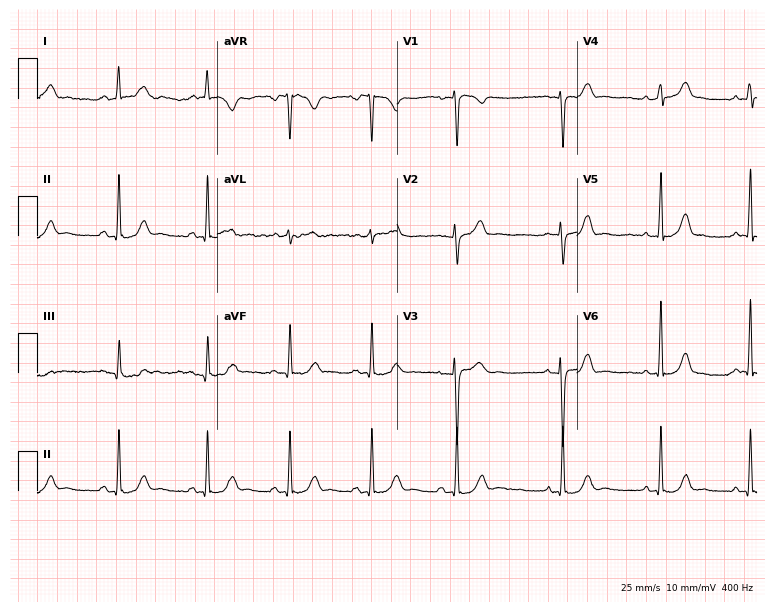
12-lead ECG from a 30-year-old female patient (7.3-second recording at 400 Hz). No first-degree AV block, right bundle branch block, left bundle branch block, sinus bradycardia, atrial fibrillation or sinus tachycardia recorded for this tracing. Other findings, if any, are not listed.